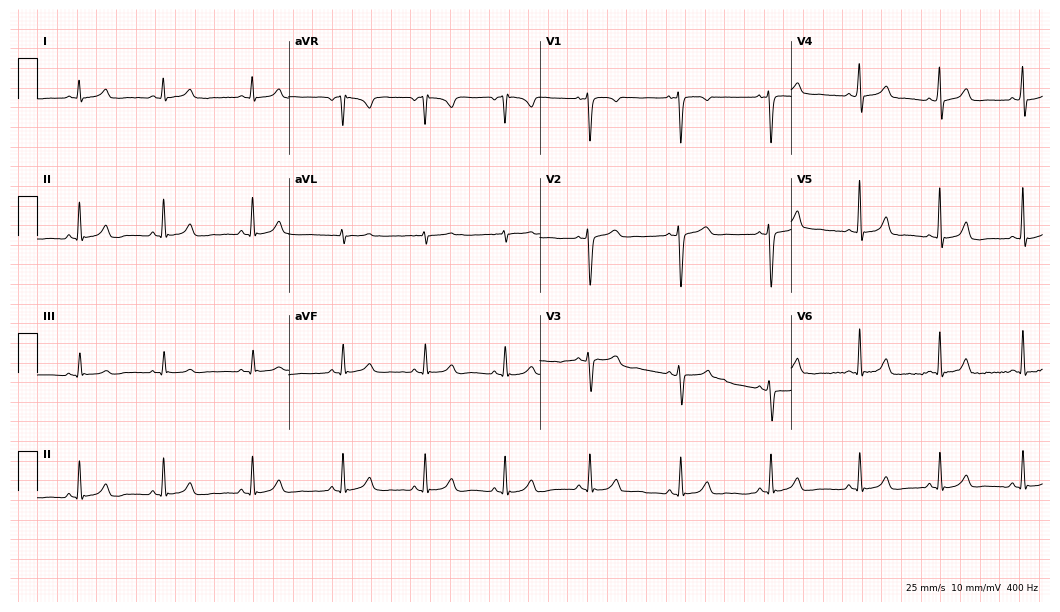
12-lead ECG from a female patient, 26 years old (10.2-second recording at 400 Hz). Recorded interpretation: within normal limits.